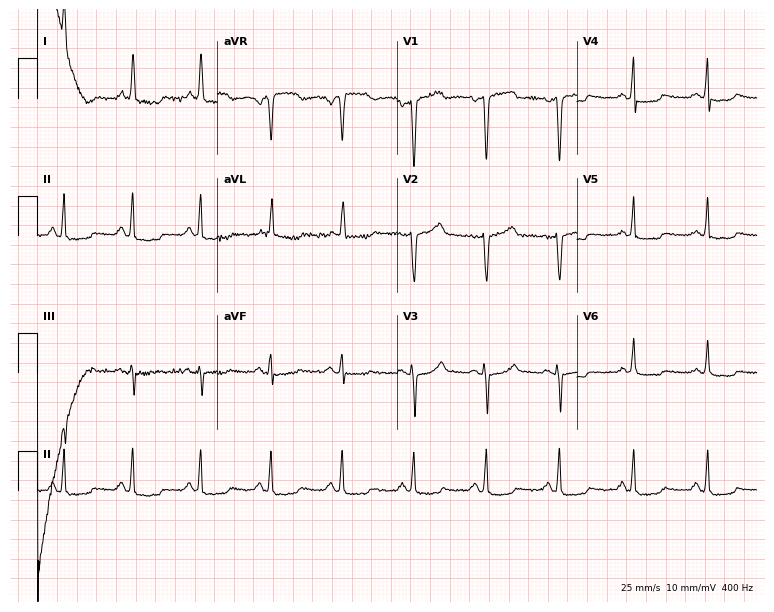
ECG — a female patient, 65 years old. Screened for six findings — first-degree AV block, right bundle branch block (RBBB), left bundle branch block (LBBB), sinus bradycardia, atrial fibrillation (AF), sinus tachycardia — none is recorded. Other findings, if any, are not listed.